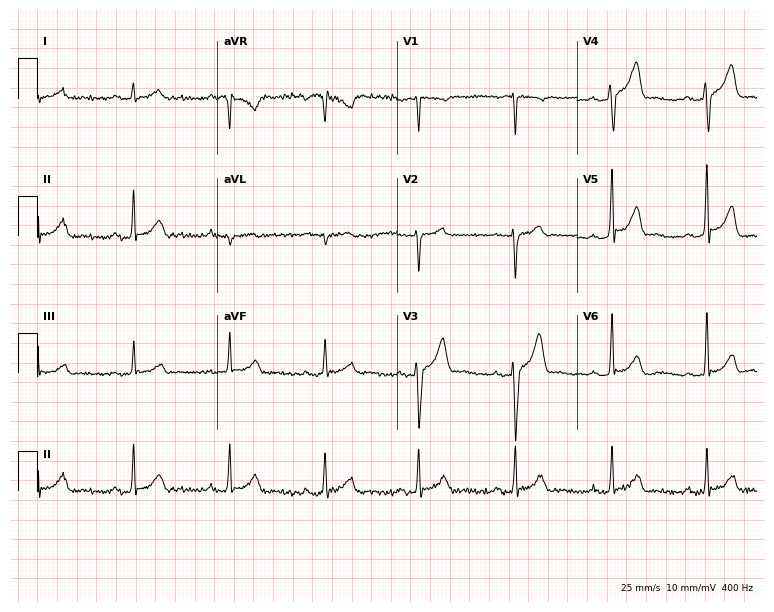
12-lead ECG from a 41-year-old male (7.3-second recording at 400 Hz). No first-degree AV block, right bundle branch block (RBBB), left bundle branch block (LBBB), sinus bradycardia, atrial fibrillation (AF) or sinus tachycardia recorded for this tracing.